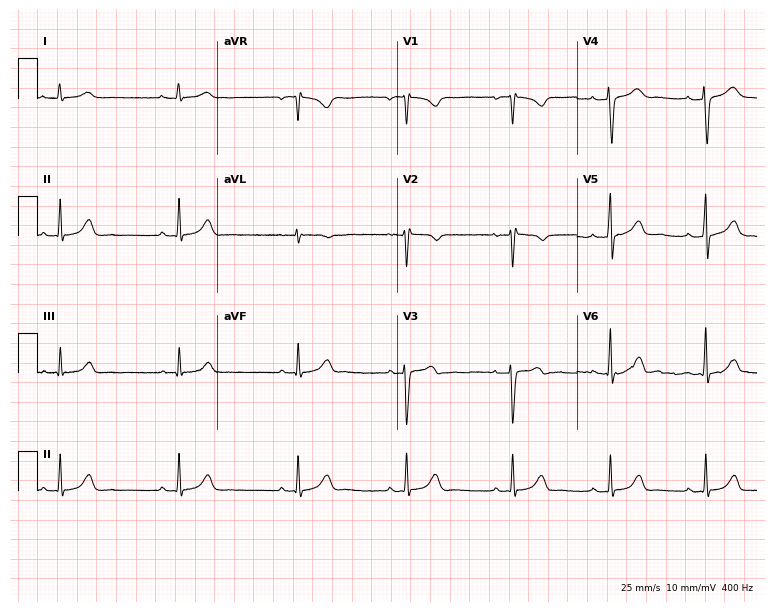
Resting 12-lead electrocardiogram (7.3-second recording at 400 Hz). Patient: a 30-year-old woman. None of these six findings is recorded: first-degree AV block, right bundle branch block, left bundle branch block, sinus bradycardia, atrial fibrillation, sinus tachycardia.